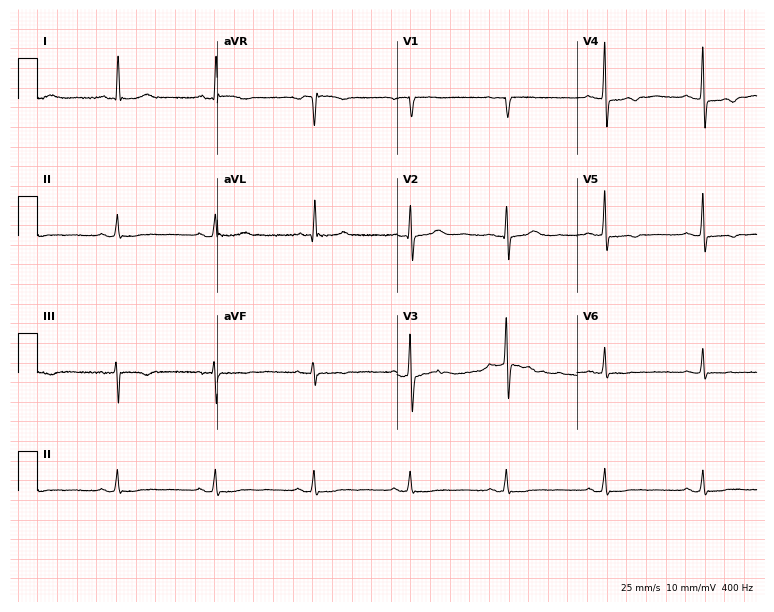
Electrocardiogram, a 71-year-old female. Overall reading on record: normal ECG.